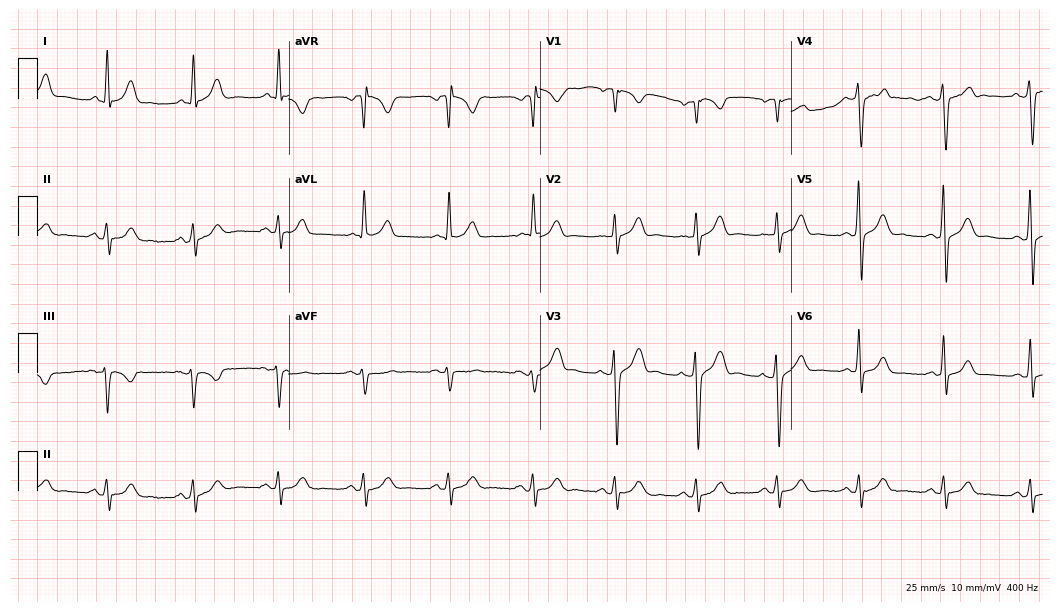
Electrocardiogram, a 45-year-old male. Overall reading on record: normal ECG.